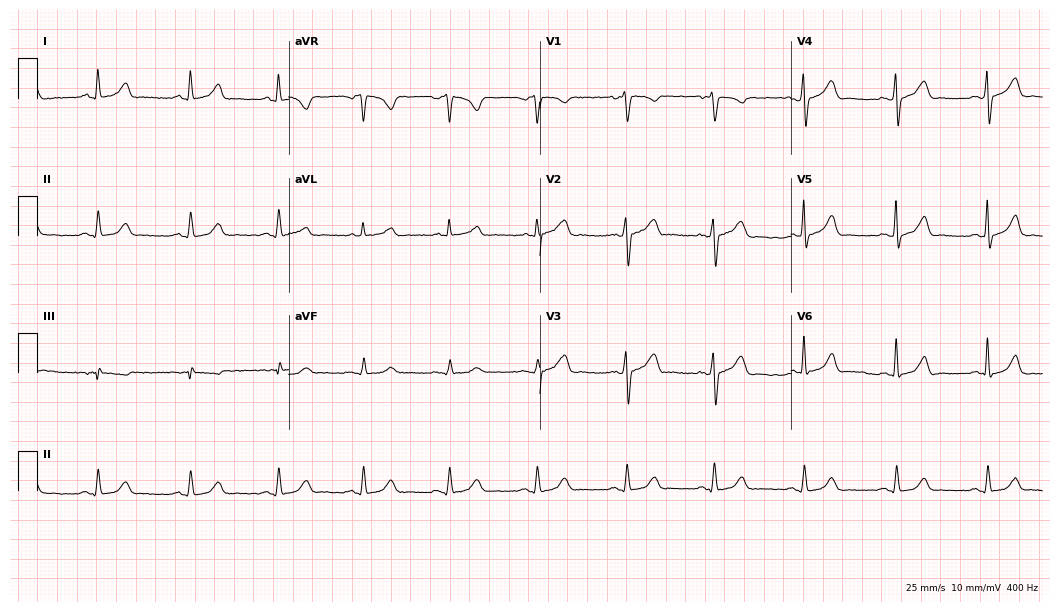
12-lead ECG from a 48-year-old female. Recorded interpretation: within normal limits.